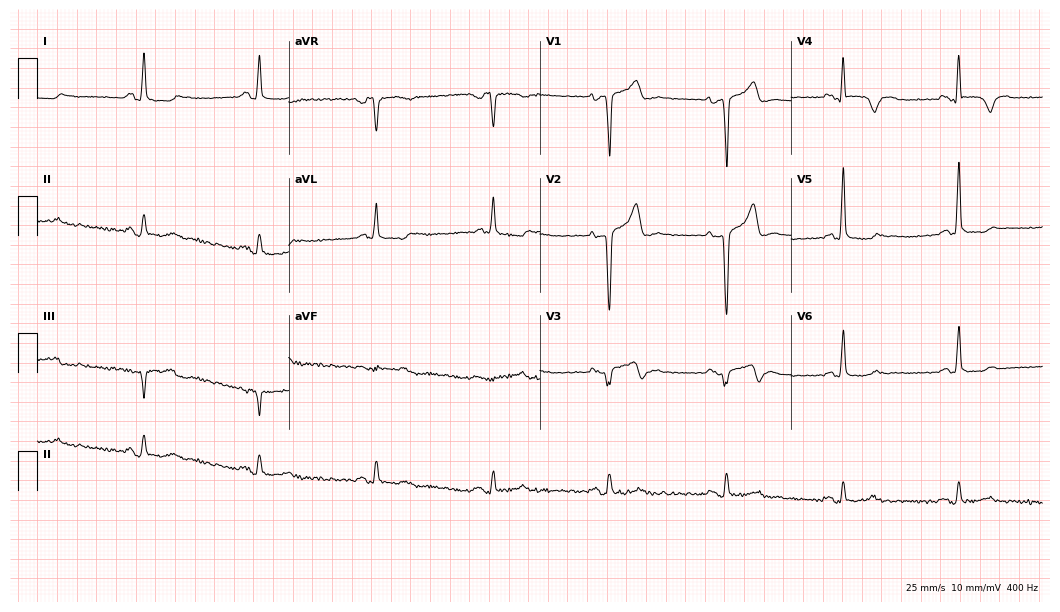
ECG — a 72-year-old man. Findings include sinus bradycardia (a sinus rate of 50 beats per minute or less).